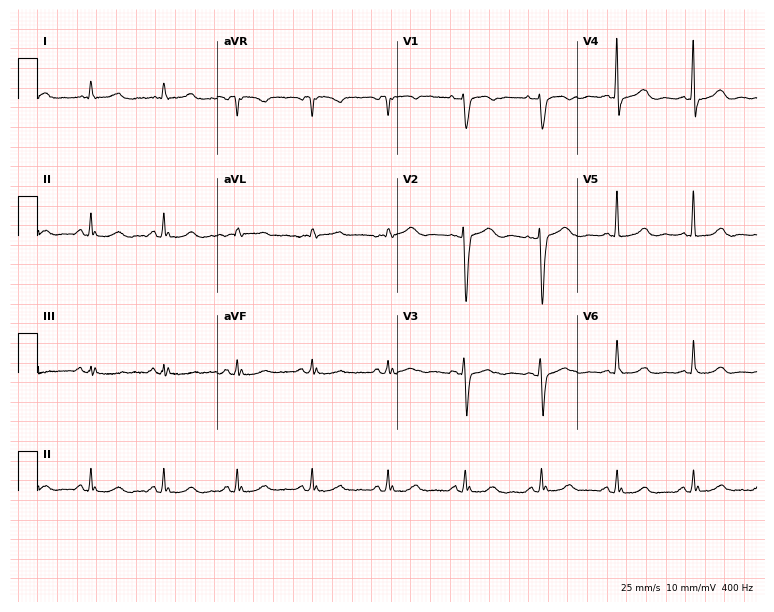
Standard 12-lead ECG recorded from a 74-year-old female patient (7.3-second recording at 400 Hz). Read as a normal ECG.